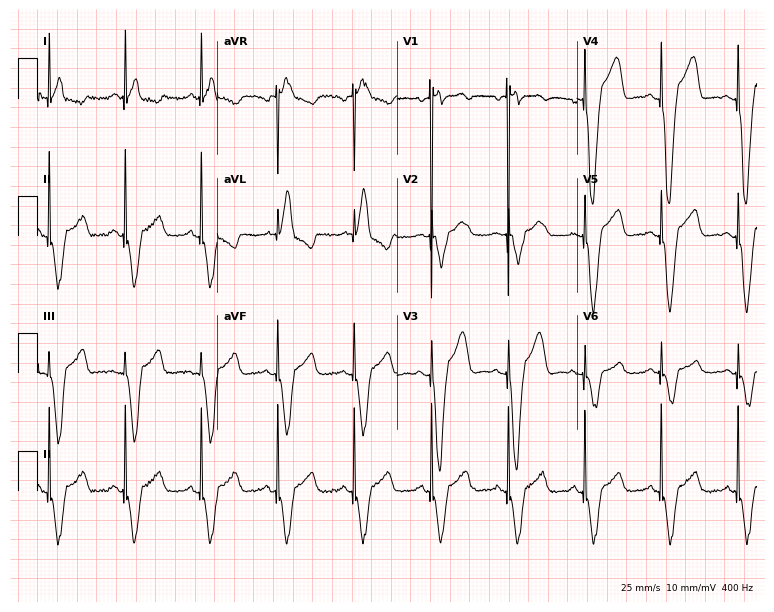
12-lead ECG (7.3-second recording at 400 Hz) from a man, 75 years old. Screened for six findings — first-degree AV block, right bundle branch block, left bundle branch block, sinus bradycardia, atrial fibrillation, sinus tachycardia — none is recorded.